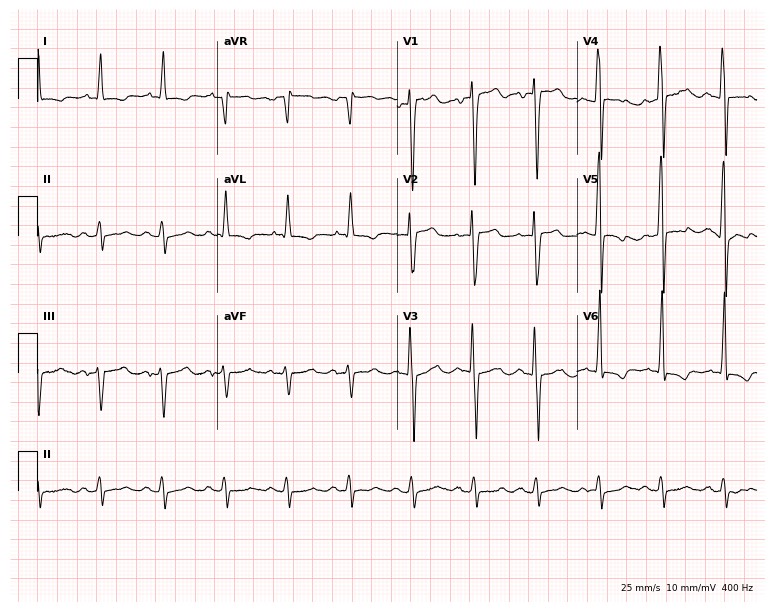
ECG — a male, 84 years old. Screened for six findings — first-degree AV block, right bundle branch block (RBBB), left bundle branch block (LBBB), sinus bradycardia, atrial fibrillation (AF), sinus tachycardia — none is recorded.